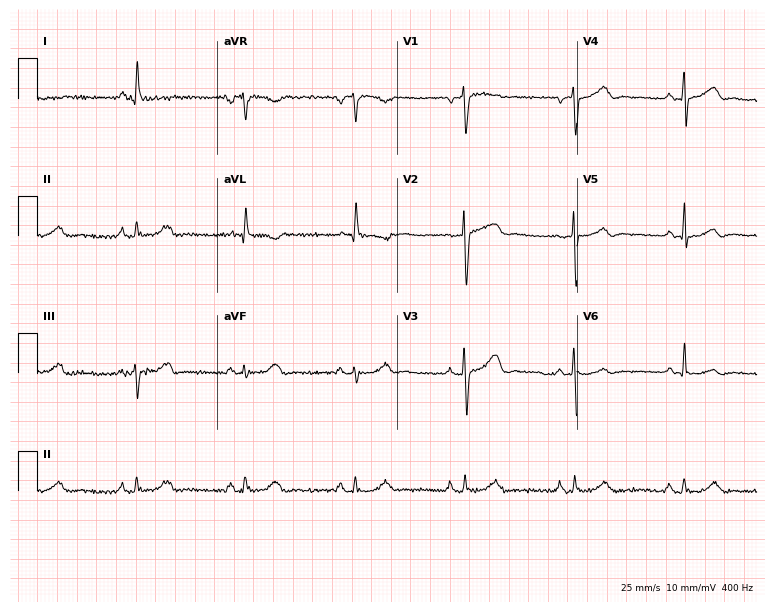
Electrocardiogram, an 83-year-old man. Of the six screened findings (first-degree AV block, right bundle branch block (RBBB), left bundle branch block (LBBB), sinus bradycardia, atrial fibrillation (AF), sinus tachycardia), none is recorded.